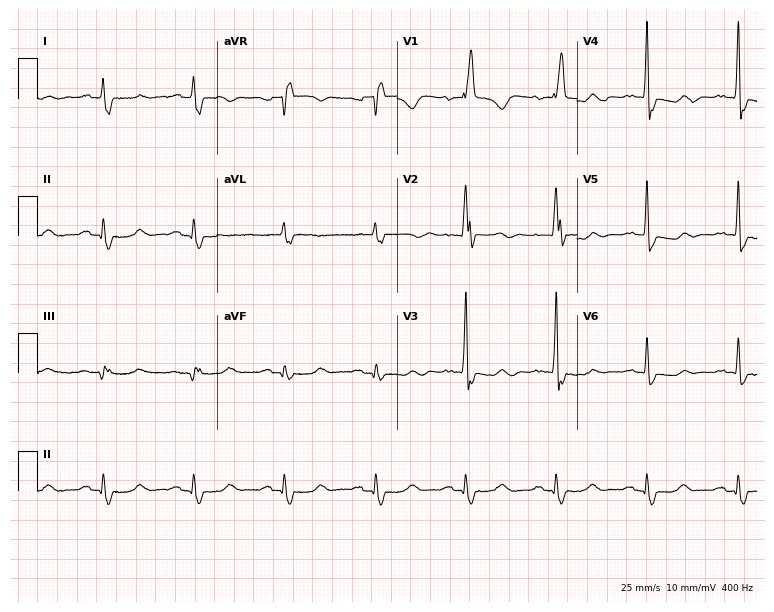
Resting 12-lead electrocardiogram (7.3-second recording at 400 Hz). Patient: a male, 71 years old. None of these six findings is recorded: first-degree AV block, right bundle branch block, left bundle branch block, sinus bradycardia, atrial fibrillation, sinus tachycardia.